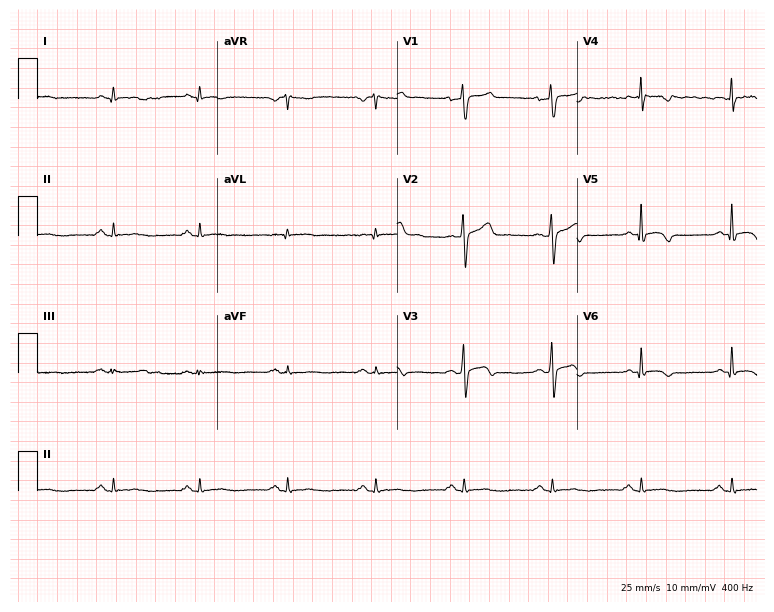
Electrocardiogram, a male, 47 years old. Of the six screened findings (first-degree AV block, right bundle branch block, left bundle branch block, sinus bradycardia, atrial fibrillation, sinus tachycardia), none is recorded. Findings outside these six are not listed.